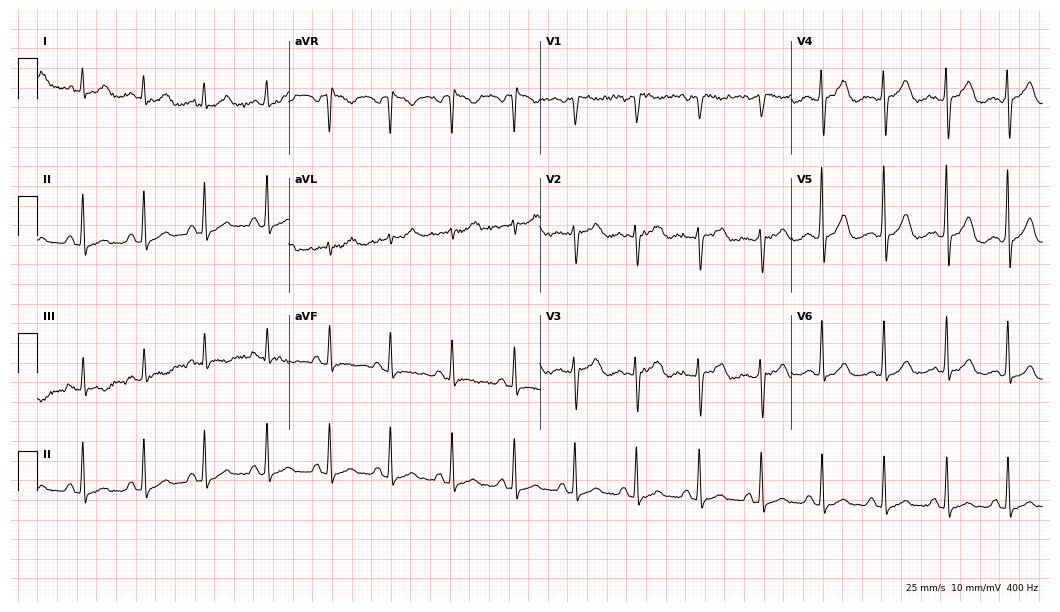
ECG (10.2-second recording at 400 Hz) — a woman, 73 years old. Screened for six findings — first-degree AV block, right bundle branch block, left bundle branch block, sinus bradycardia, atrial fibrillation, sinus tachycardia — none is recorded.